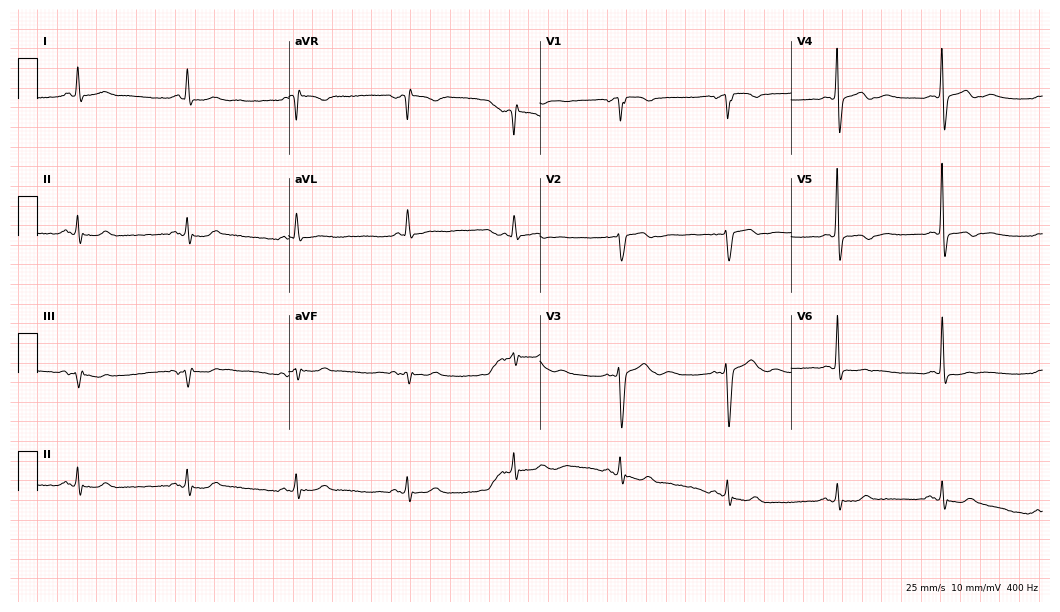
12-lead ECG from a female, 79 years old. No first-degree AV block, right bundle branch block, left bundle branch block, sinus bradycardia, atrial fibrillation or sinus tachycardia recorded for this tracing. Other findings, if any, are not listed.